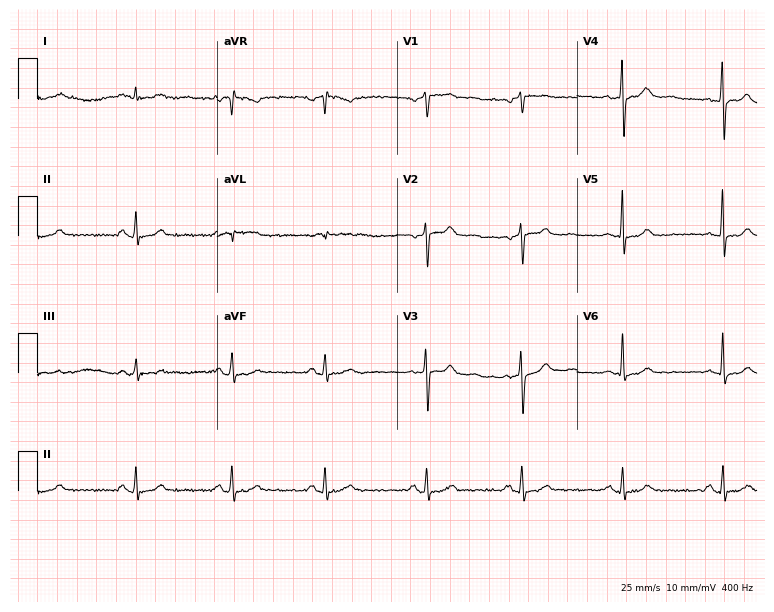
12-lead ECG (7.3-second recording at 400 Hz) from a woman, 63 years old. Labelled as a normal ECG.